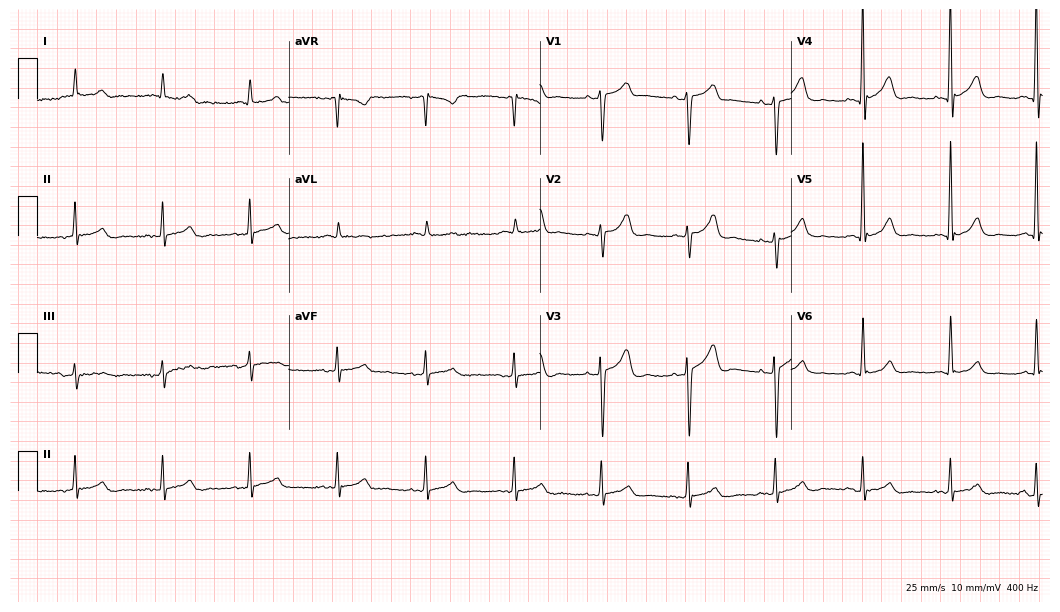
Standard 12-lead ECG recorded from a 62-year-old male. Read as a normal ECG.